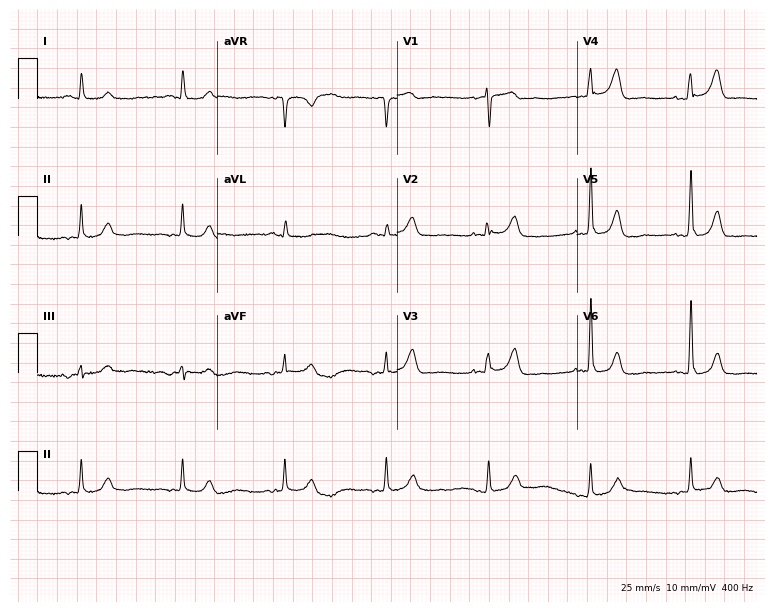
ECG (7.3-second recording at 400 Hz) — a woman, 78 years old. Screened for six findings — first-degree AV block, right bundle branch block (RBBB), left bundle branch block (LBBB), sinus bradycardia, atrial fibrillation (AF), sinus tachycardia — none is recorded. Findings outside these six are not listed.